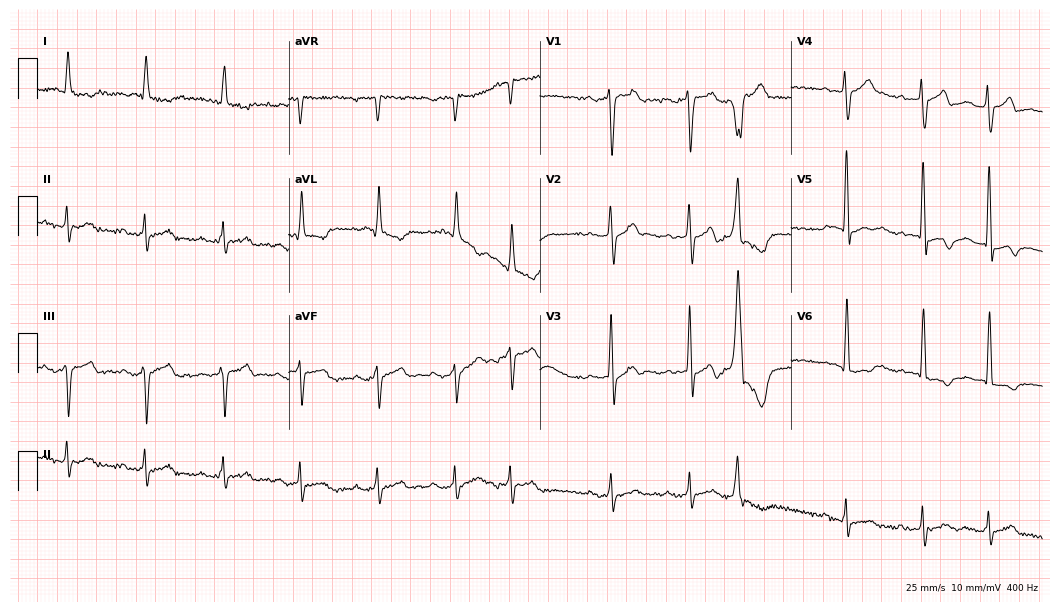
12-lead ECG from an 81-year-old male patient (10.2-second recording at 400 Hz). Shows first-degree AV block, atrial fibrillation (AF).